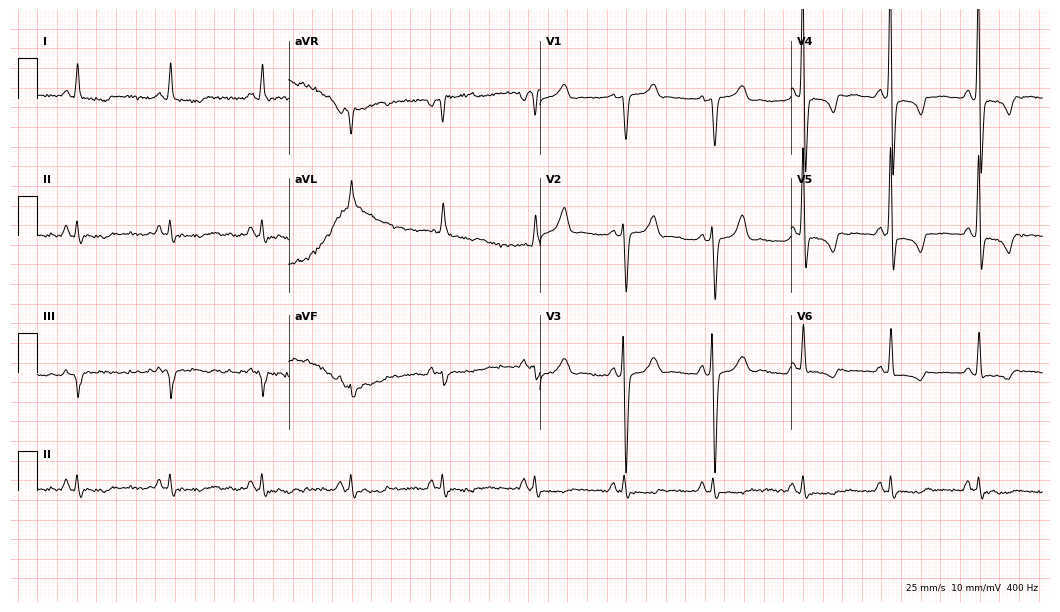
12-lead ECG from a male, 63 years old. No first-degree AV block, right bundle branch block, left bundle branch block, sinus bradycardia, atrial fibrillation or sinus tachycardia recorded for this tracing. Findings outside these six are not listed.